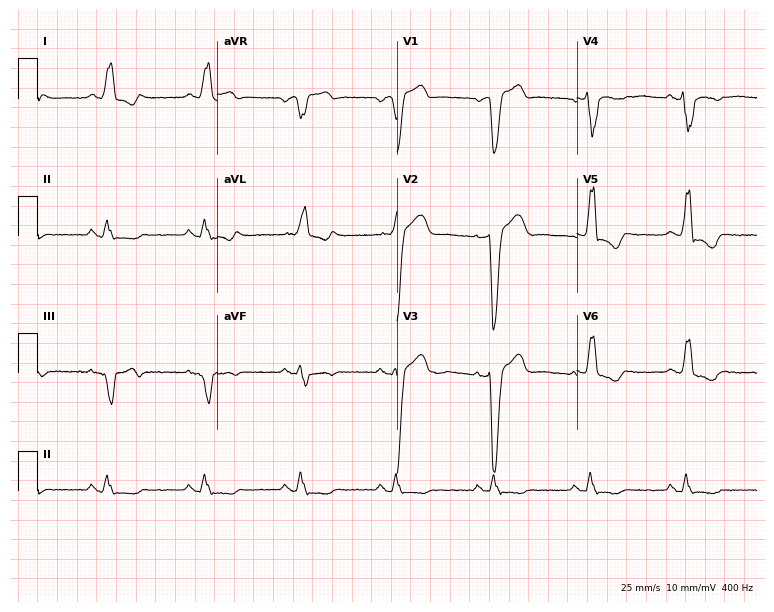
ECG — a male patient, 75 years old. Findings include left bundle branch block.